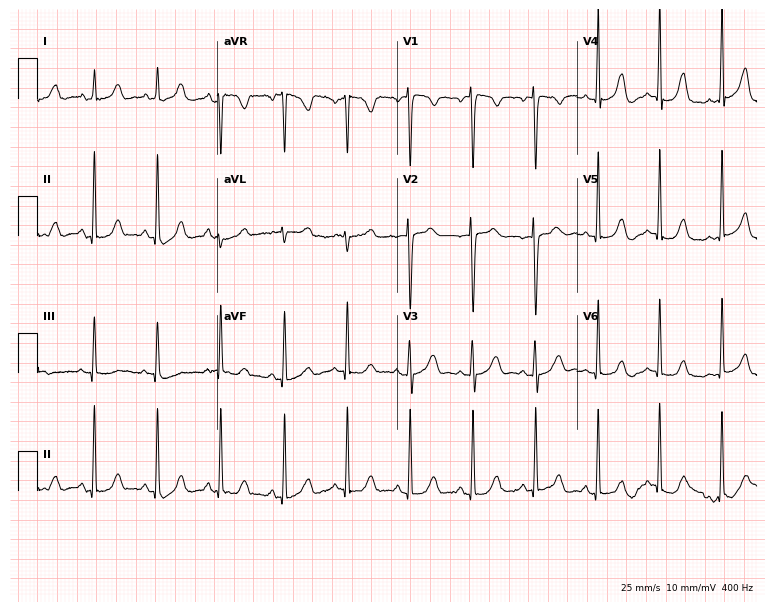
ECG — a woman, 34 years old. Labelled as a normal ECG.